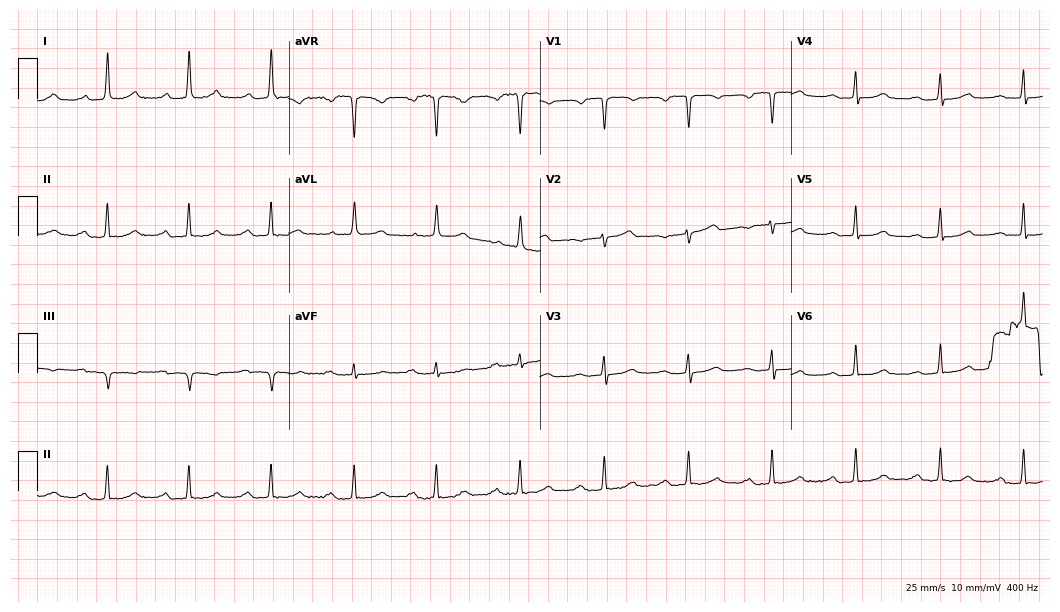
Standard 12-lead ECG recorded from a woman, 64 years old (10.2-second recording at 400 Hz). None of these six findings is recorded: first-degree AV block, right bundle branch block (RBBB), left bundle branch block (LBBB), sinus bradycardia, atrial fibrillation (AF), sinus tachycardia.